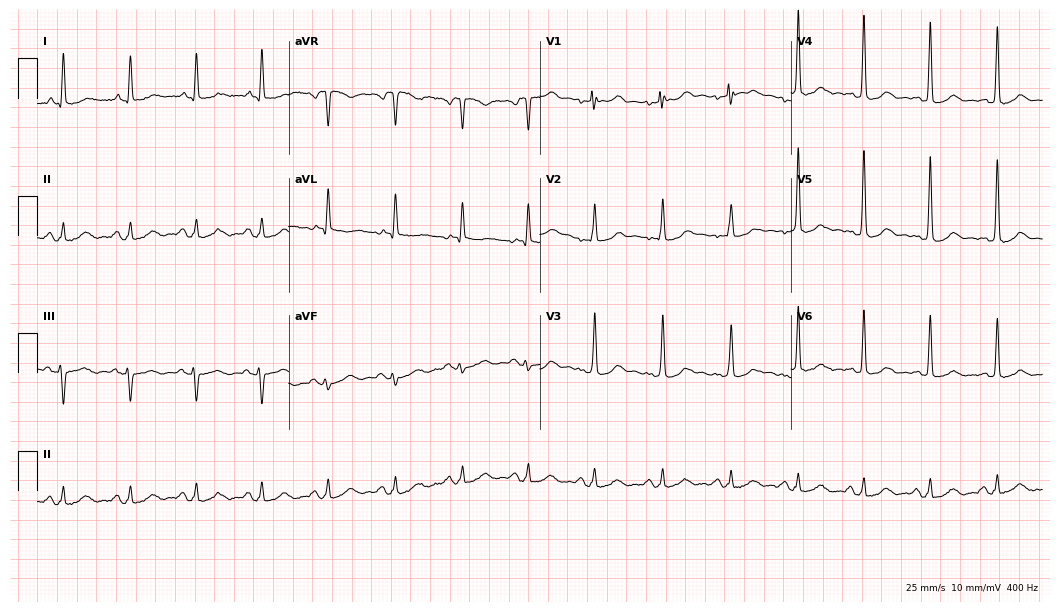
Standard 12-lead ECG recorded from a 65-year-old woman (10.2-second recording at 400 Hz). None of these six findings is recorded: first-degree AV block, right bundle branch block, left bundle branch block, sinus bradycardia, atrial fibrillation, sinus tachycardia.